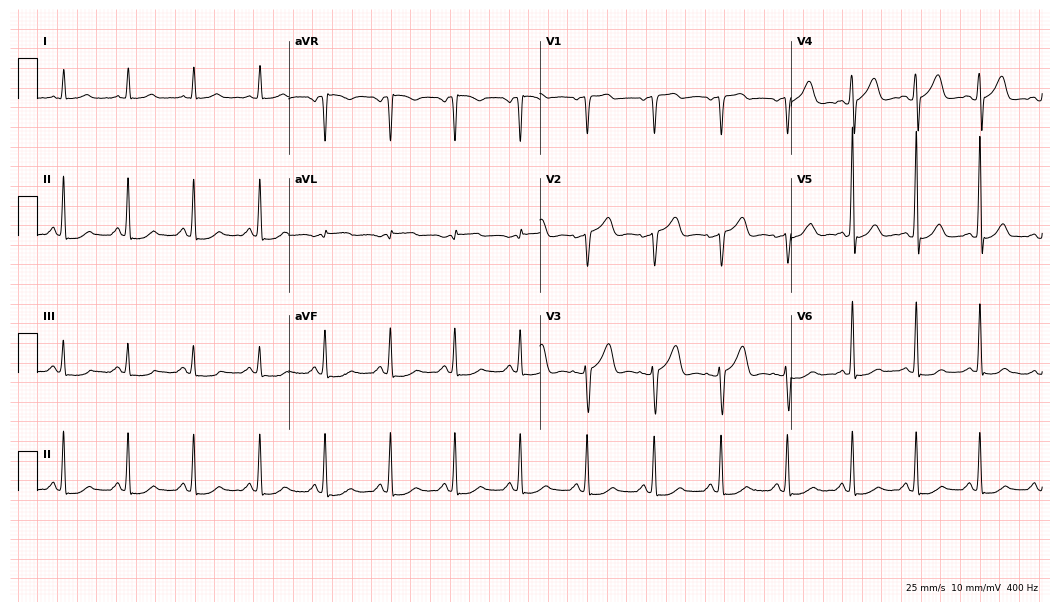
12-lead ECG (10.2-second recording at 400 Hz) from a 55-year-old female. Screened for six findings — first-degree AV block, right bundle branch block, left bundle branch block, sinus bradycardia, atrial fibrillation, sinus tachycardia — none is recorded. Other findings, if any, are not listed.